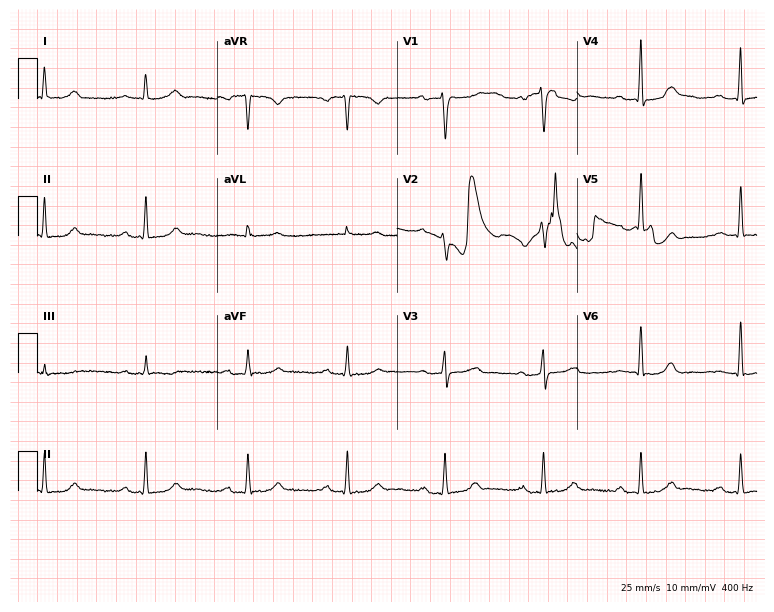
Resting 12-lead electrocardiogram (7.3-second recording at 400 Hz). Patient: a 46-year-old woman. The tracing shows first-degree AV block.